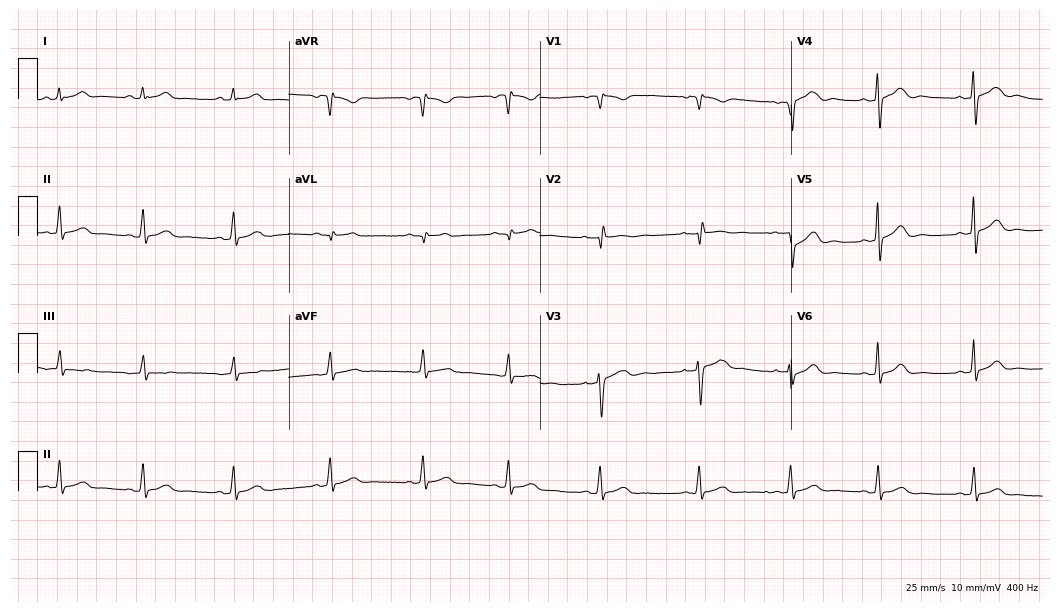
12-lead ECG from a female patient, 23 years old (10.2-second recording at 400 Hz). Recorded interpretation: within normal limits.